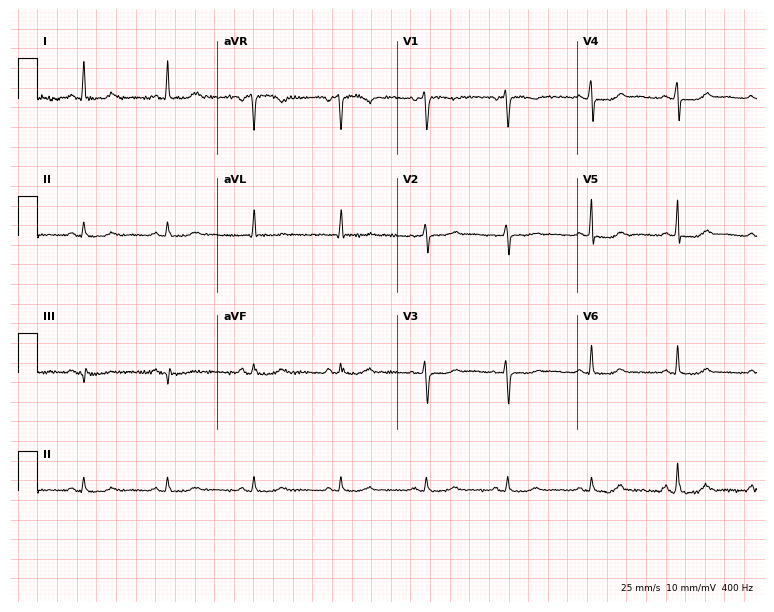
Resting 12-lead electrocardiogram (7.3-second recording at 400 Hz). Patient: a woman, 53 years old. None of these six findings is recorded: first-degree AV block, right bundle branch block, left bundle branch block, sinus bradycardia, atrial fibrillation, sinus tachycardia.